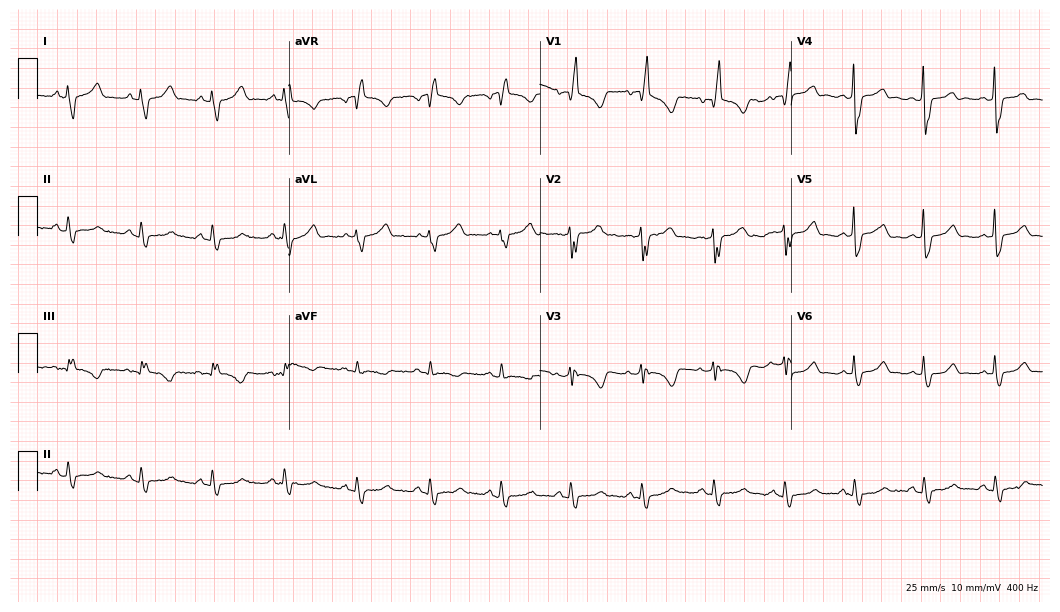
Resting 12-lead electrocardiogram. Patient: a 62-year-old female. The tracing shows right bundle branch block.